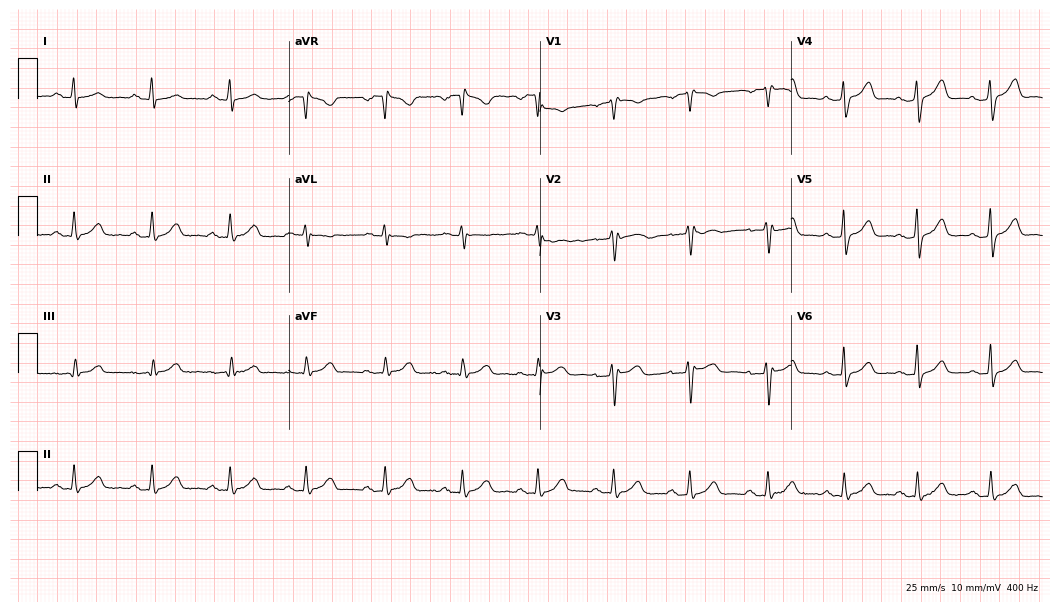
12-lead ECG from a 35-year-old female. Recorded interpretation: within normal limits.